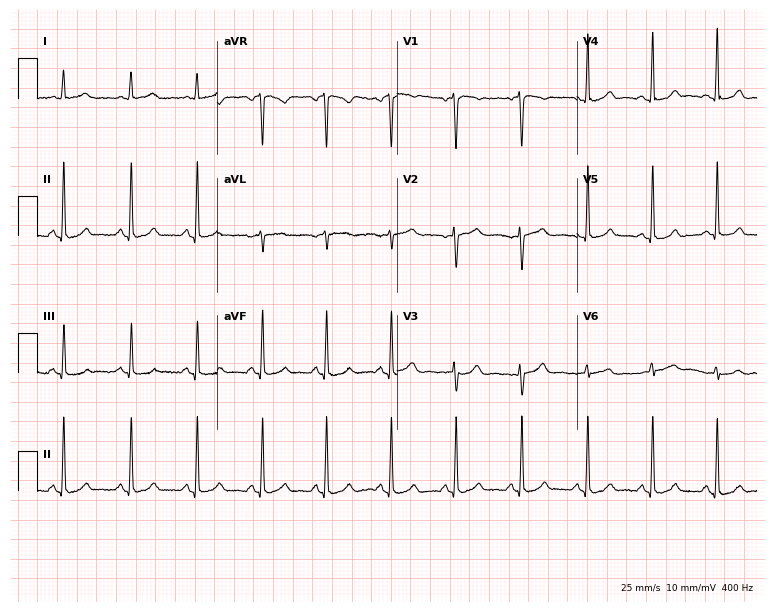
12-lead ECG (7.3-second recording at 400 Hz) from a female, 38 years old. Screened for six findings — first-degree AV block, right bundle branch block, left bundle branch block, sinus bradycardia, atrial fibrillation, sinus tachycardia — none is recorded.